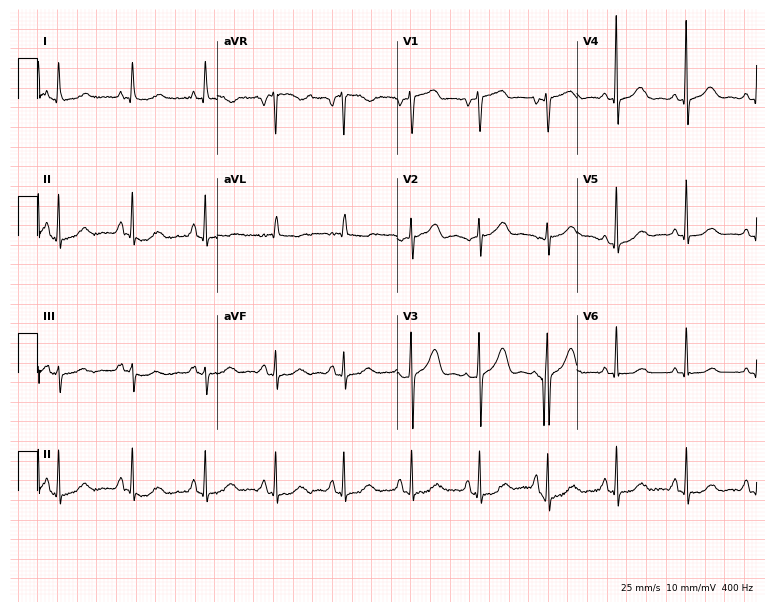
12-lead ECG (7.3-second recording at 400 Hz) from a 67-year-old woman. Screened for six findings — first-degree AV block, right bundle branch block, left bundle branch block, sinus bradycardia, atrial fibrillation, sinus tachycardia — none is recorded. Findings outside these six are not listed.